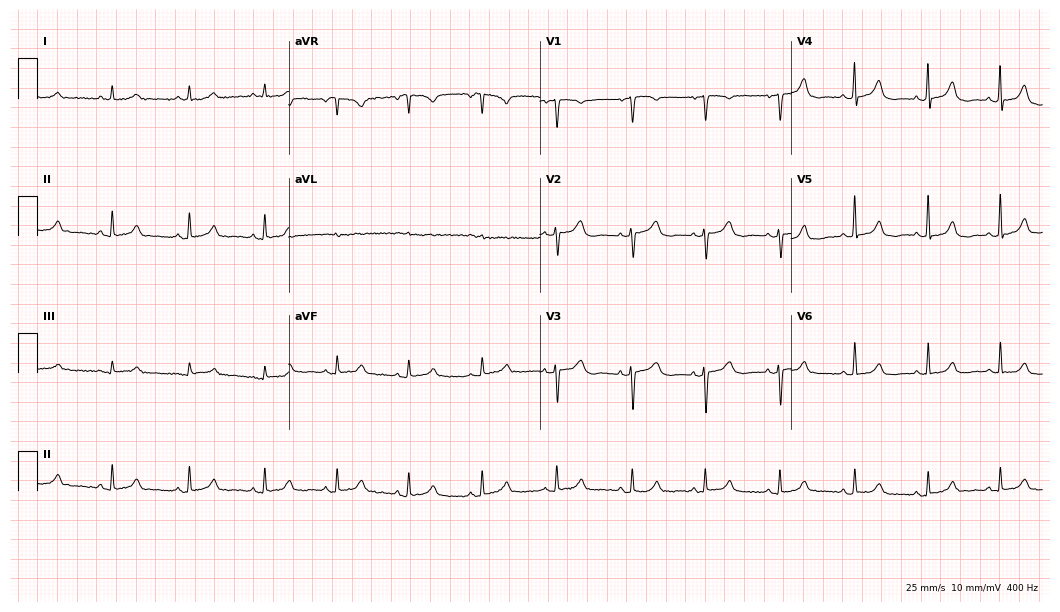
Electrocardiogram, a woman, 85 years old. Overall reading on record: normal ECG.